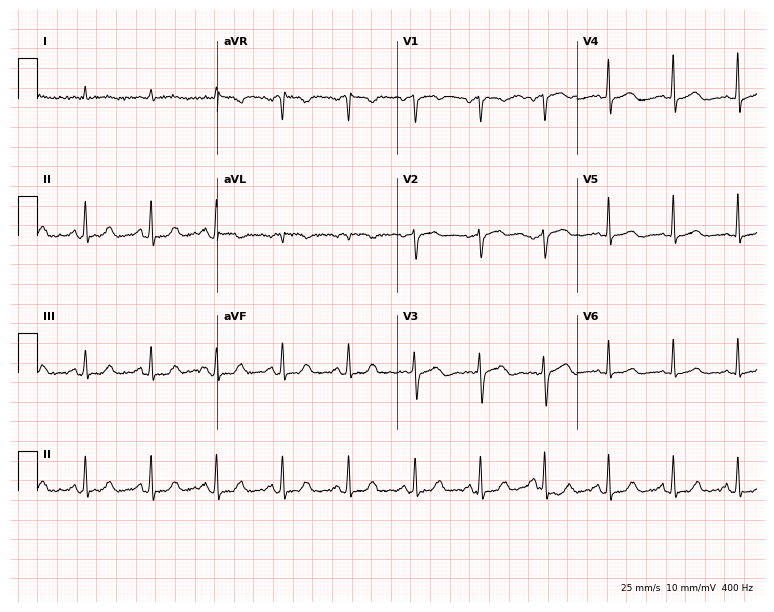
Resting 12-lead electrocardiogram (7.3-second recording at 400 Hz). Patient: a 55-year-old male. Read as a normal ECG.